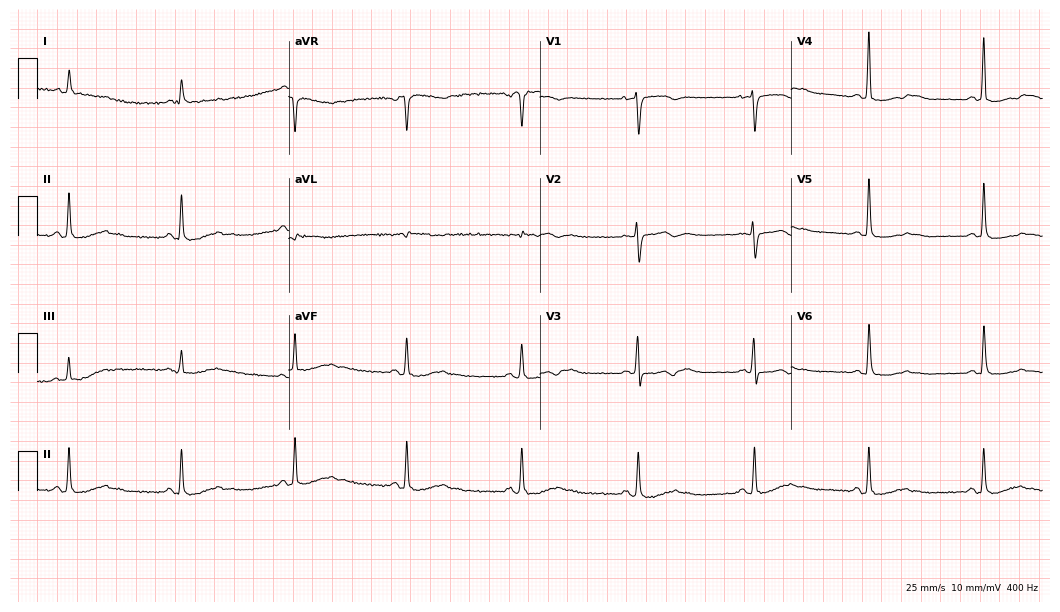
ECG — a woman, 66 years old. Screened for six findings — first-degree AV block, right bundle branch block, left bundle branch block, sinus bradycardia, atrial fibrillation, sinus tachycardia — none is recorded.